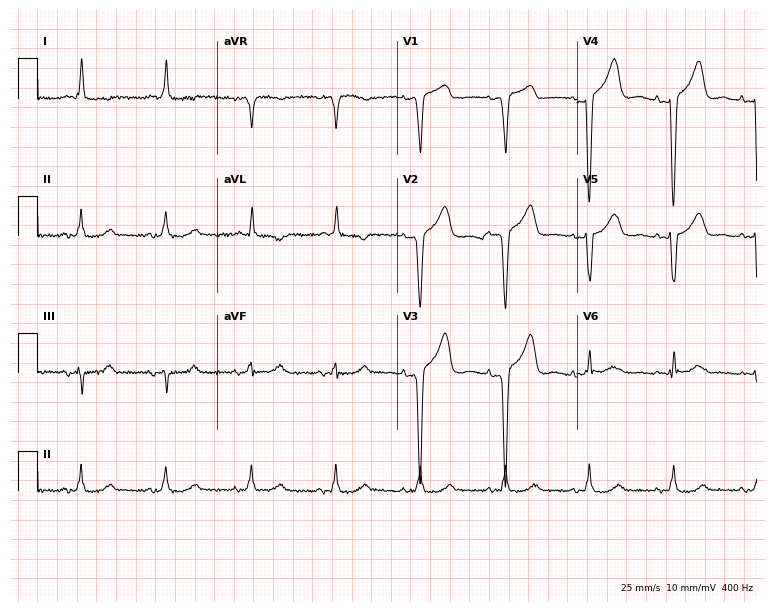
12-lead ECG from a female patient, 66 years old. No first-degree AV block, right bundle branch block, left bundle branch block, sinus bradycardia, atrial fibrillation or sinus tachycardia recorded for this tracing. Other findings, if any, are not listed.